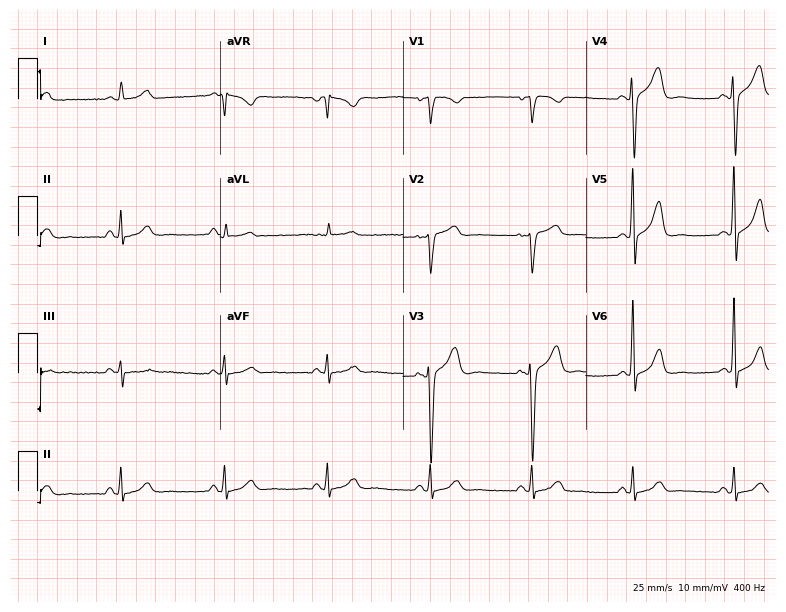
ECG (7.5-second recording at 400 Hz) — a woman, 47 years old. Screened for six findings — first-degree AV block, right bundle branch block, left bundle branch block, sinus bradycardia, atrial fibrillation, sinus tachycardia — none is recorded.